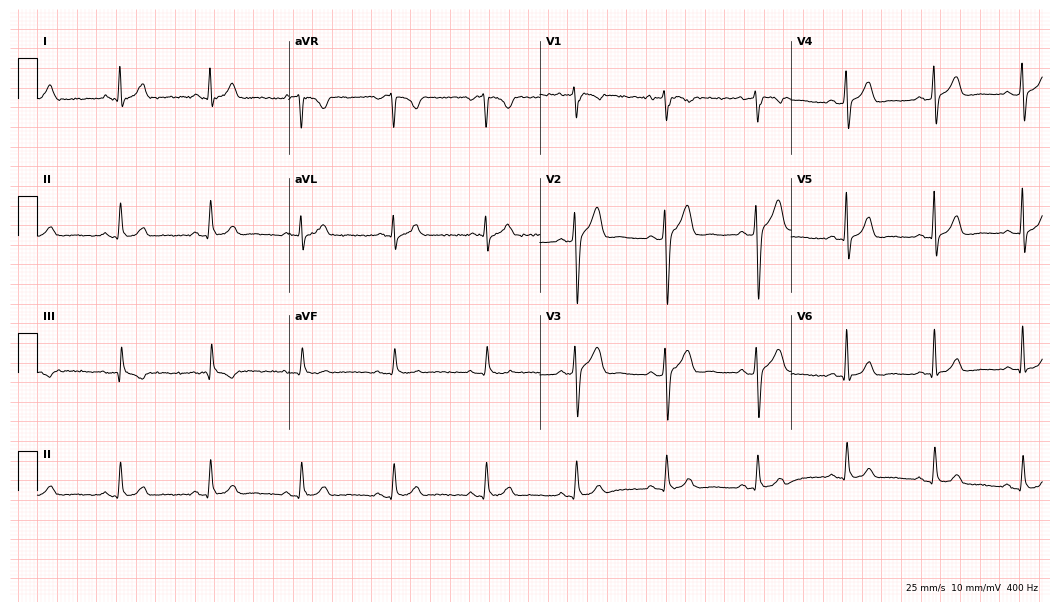
Electrocardiogram (10.2-second recording at 400 Hz), a 41-year-old male. Overall reading on record: normal ECG.